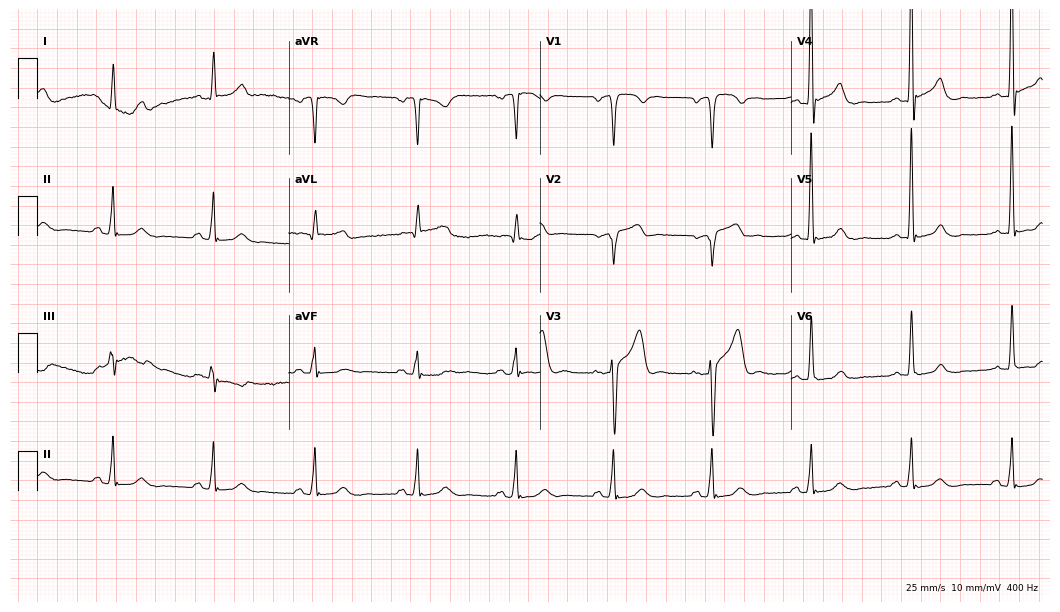
12-lead ECG from a 58-year-old male. Screened for six findings — first-degree AV block, right bundle branch block (RBBB), left bundle branch block (LBBB), sinus bradycardia, atrial fibrillation (AF), sinus tachycardia — none is recorded.